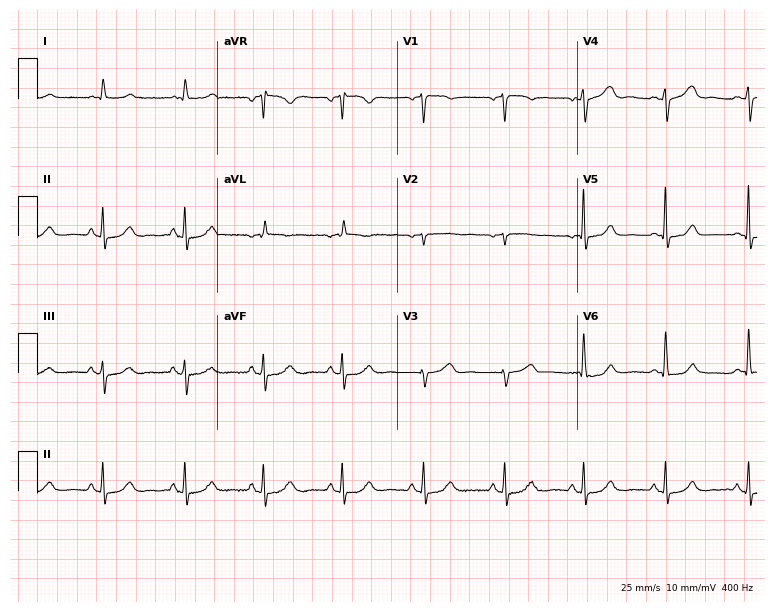
Electrocardiogram, a woman, 80 years old. Of the six screened findings (first-degree AV block, right bundle branch block, left bundle branch block, sinus bradycardia, atrial fibrillation, sinus tachycardia), none is recorded.